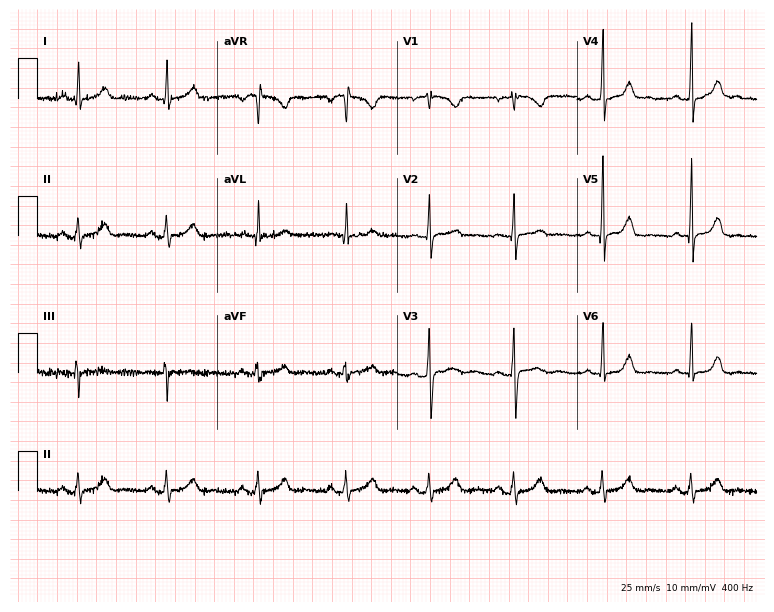
12-lead ECG (7.3-second recording at 400 Hz) from a 40-year-old female. Screened for six findings — first-degree AV block, right bundle branch block, left bundle branch block, sinus bradycardia, atrial fibrillation, sinus tachycardia — none is recorded. Findings outside these six are not listed.